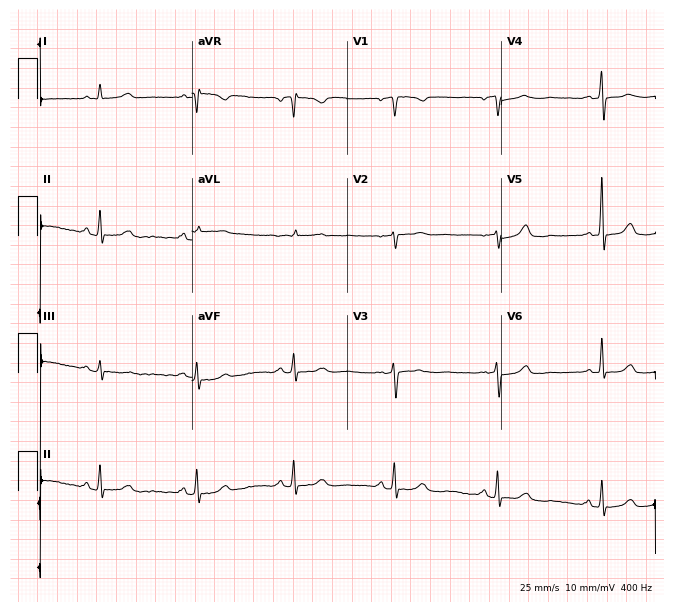
12-lead ECG from a female, 50 years old (6.3-second recording at 400 Hz). No first-degree AV block, right bundle branch block, left bundle branch block, sinus bradycardia, atrial fibrillation or sinus tachycardia recorded for this tracing. Only these six findings were labelled.